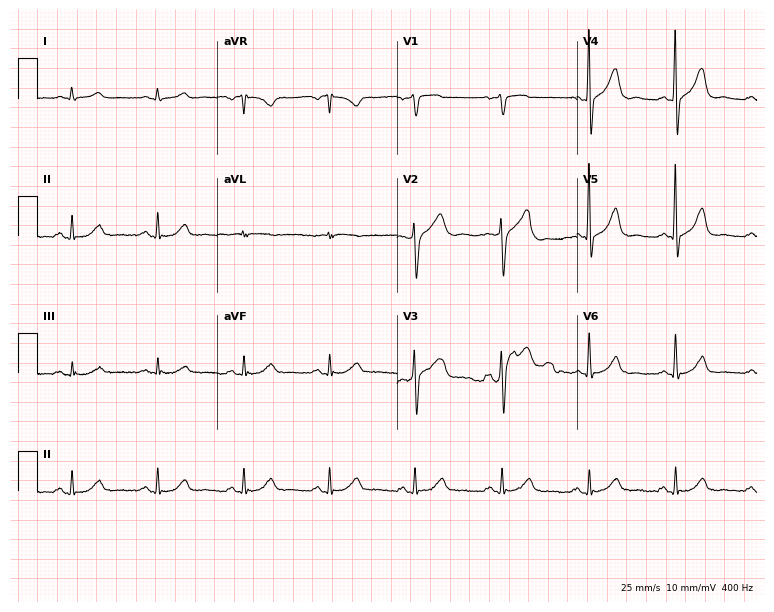
Resting 12-lead electrocardiogram. Patient: a man, 62 years old. Read as a normal ECG.